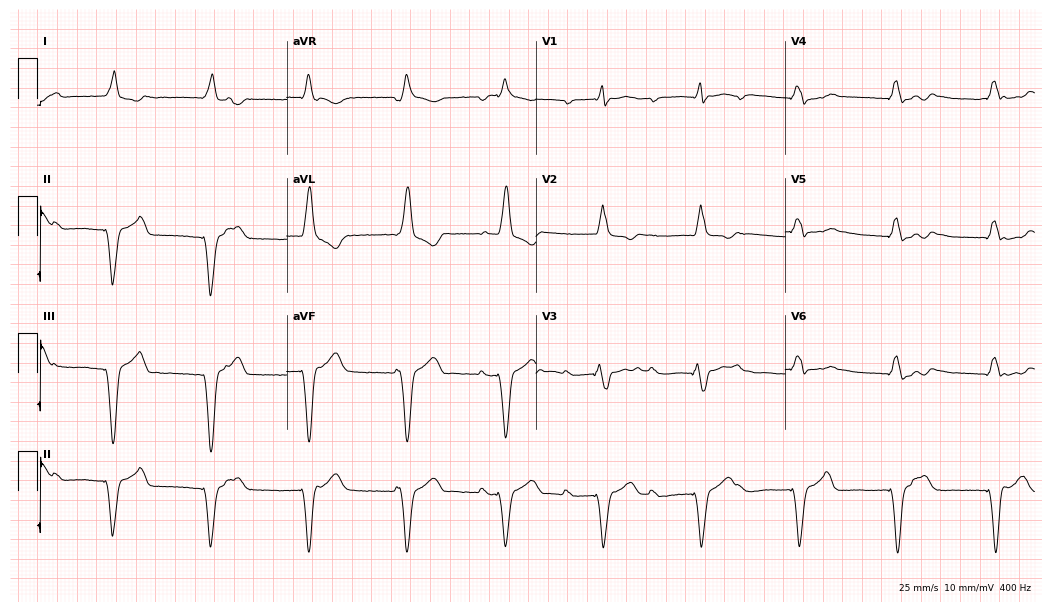
Electrocardiogram (10.2-second recording at 400 Hz), a man, 83 years old. Interpretation includes atrial fibrillation (AF).